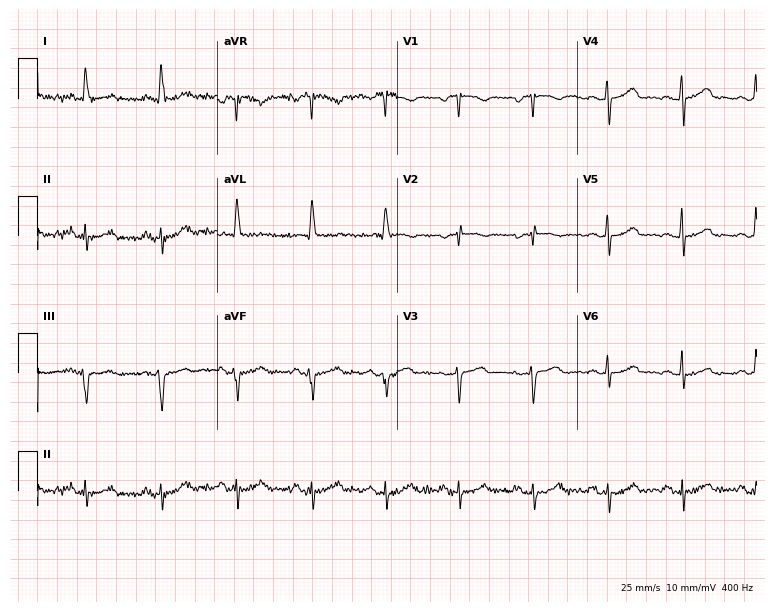
Electrocardiogram, a woman, 69 years old. Of the six screened findings (first-degree AV block, right bundle branch block (RBBB), left bundle branch block (LBBB), sinus bradycardia, atrial fibrillation (AF), sinus tachycardia), none is recorded. Only these six findings were labelled.